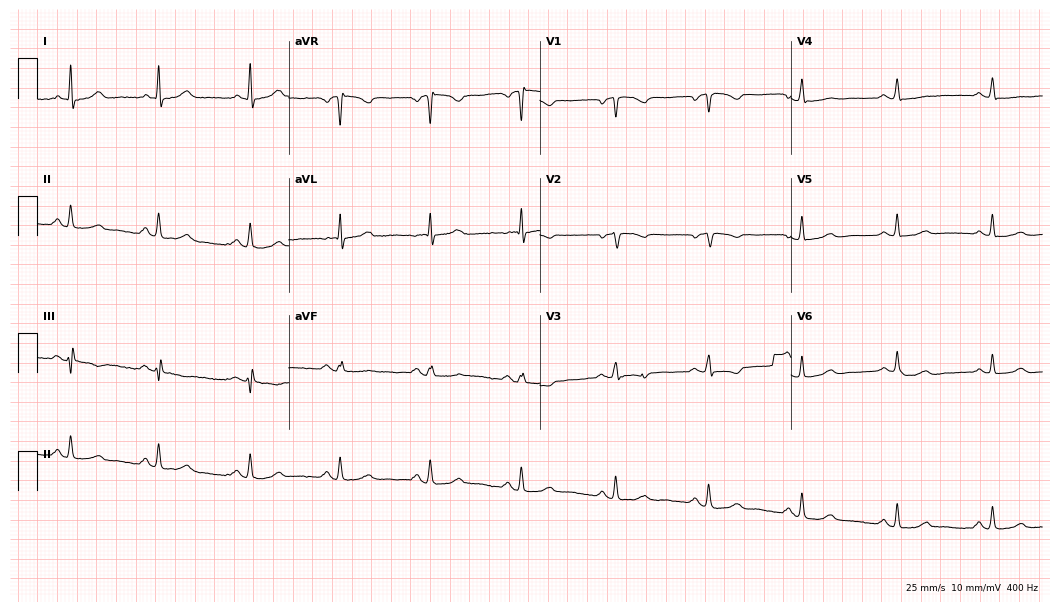
Standard 12-lead ECG recorded from a female, 51 years old (10.2-second recording at 400 Hz). None of these six findings is recorded: first-degree AV block, right bundle branch block (RBBB), left bundle branch block (LBBB), sinus bradycardia, atrial fibrillation (AF), sinus tachycardia.